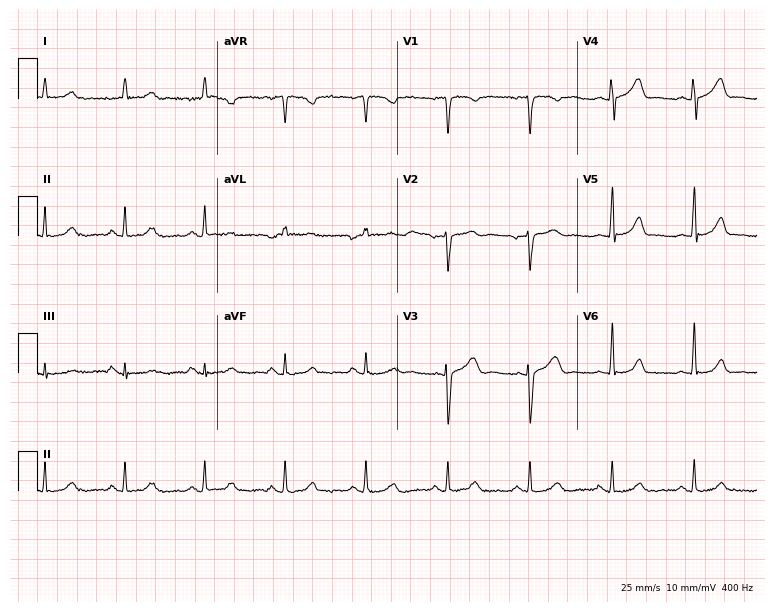
ECG — a 44-year-old woman. Screened for six findings — first-degree AV block, right bundle branch block (RBBB), left bundle branch block (LBBB), sinus bradycardia, atrial fibrillation (AF), sinus tachycardia — none is recorded. Findings outside these six are not listed.